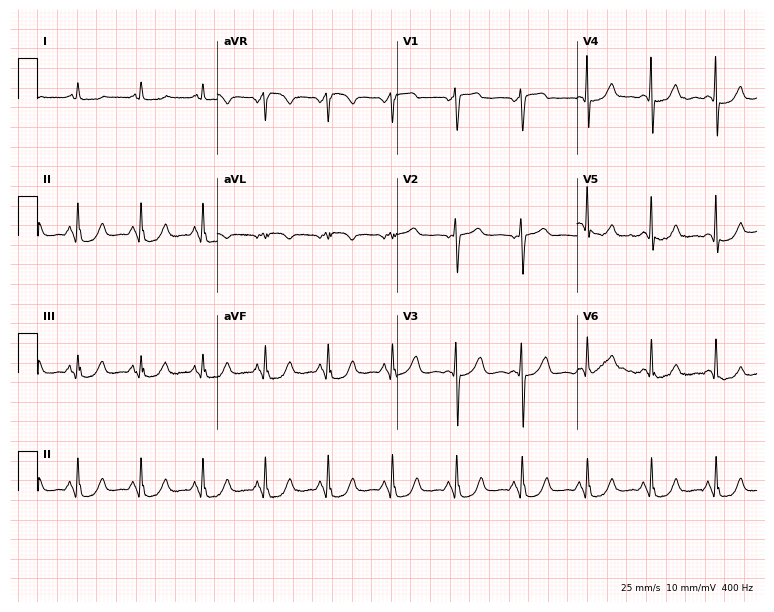
Resting 12-lead electrocardiogram (7.3-second recording at 400 Hz). Patient: a female, 53 years old. None of these six findings is recorded: first-degree AV block, right bundle branch block, left bundle branch block, sinus bradycardia, atrial fibrillation, sinus tachycardia. Findings outside these six are not listed.